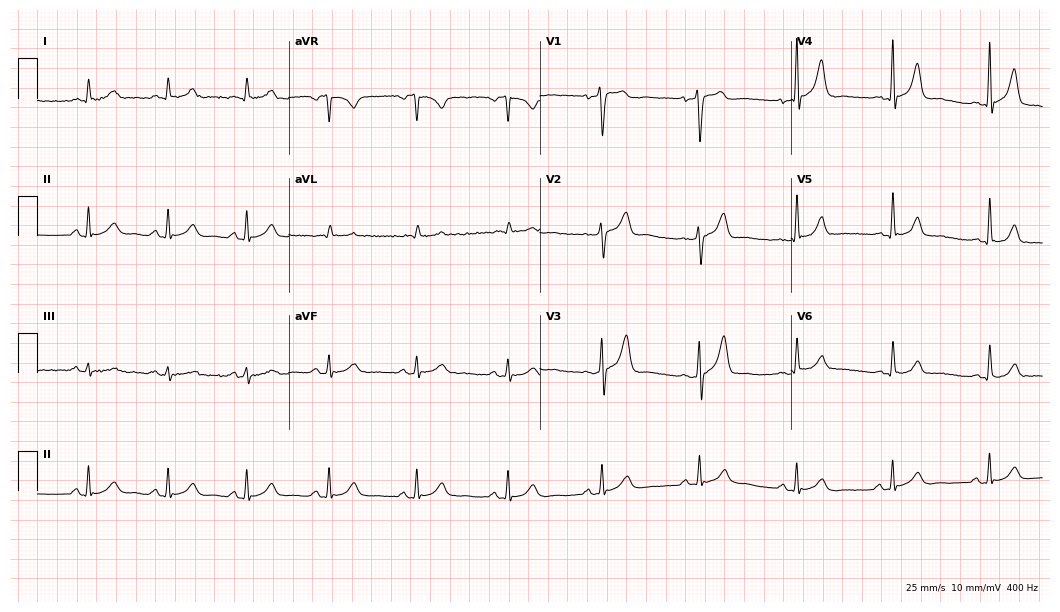
12-lead ECG from a 46-year-old man. Recorded interpretation: within normal limits.